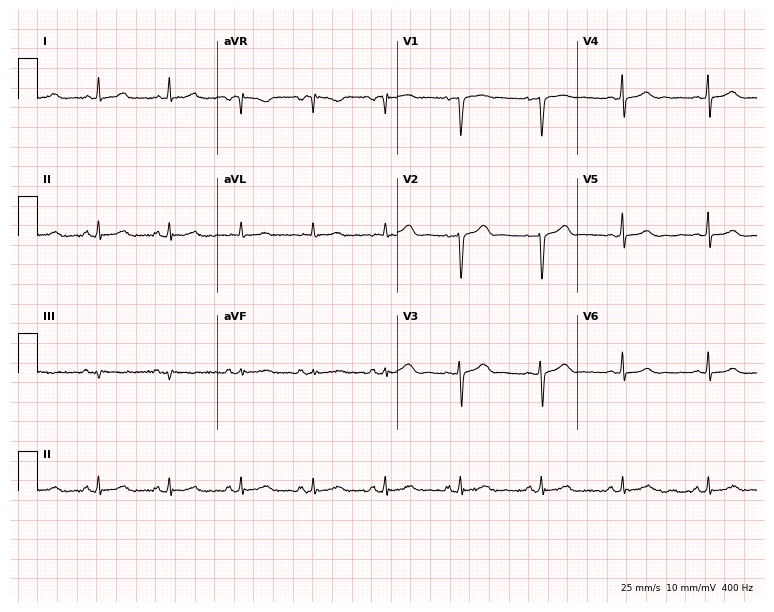
12-lead ECG from a 32-year-old woman (7.3-second recording at 400 Hz). Recorded interpretation: within normal limits.